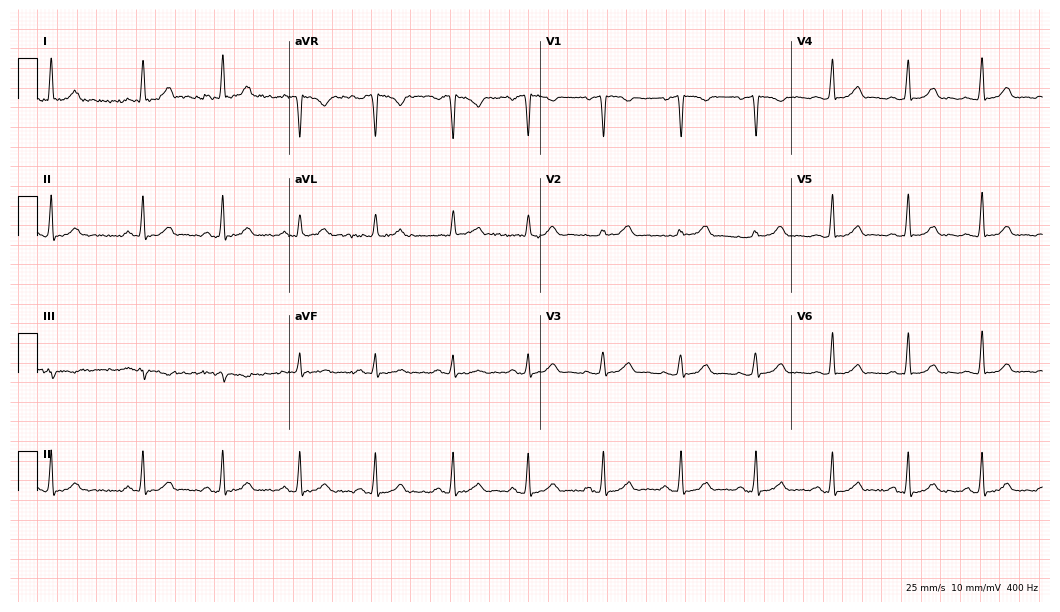
Electrocardiogram, a woman, 31 years old. Of the six screened findings (first-degree AV block, right bundle branch block, left bundle branch block, sinus bradycardia, atrial fibrillation, sinus tachycardia), none is recorded.